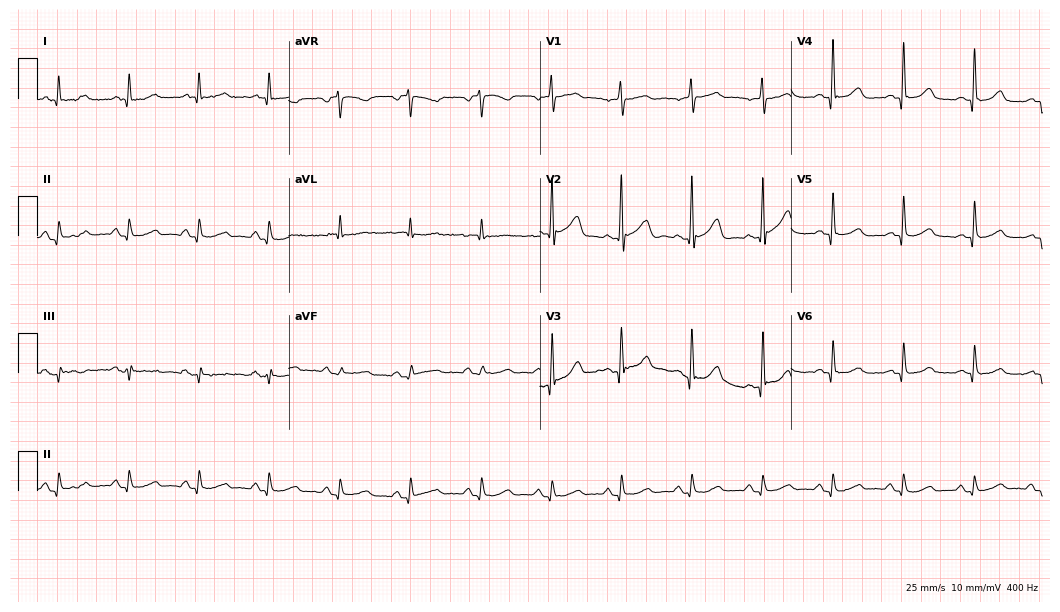
Resting 12-lead electrocardiogram (10.2-second recording at 400 Hz). Patient: a 63-year-old man. Read as a normal ECG.